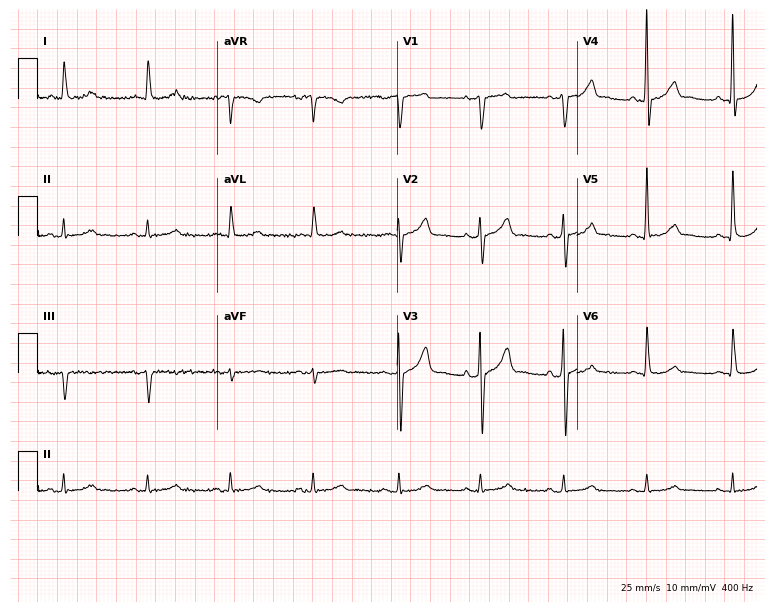
Standard 12-lead ECG recorded from a male, 84 years old (7.3-second recording at 400 Hz). Read as a normal ECG.